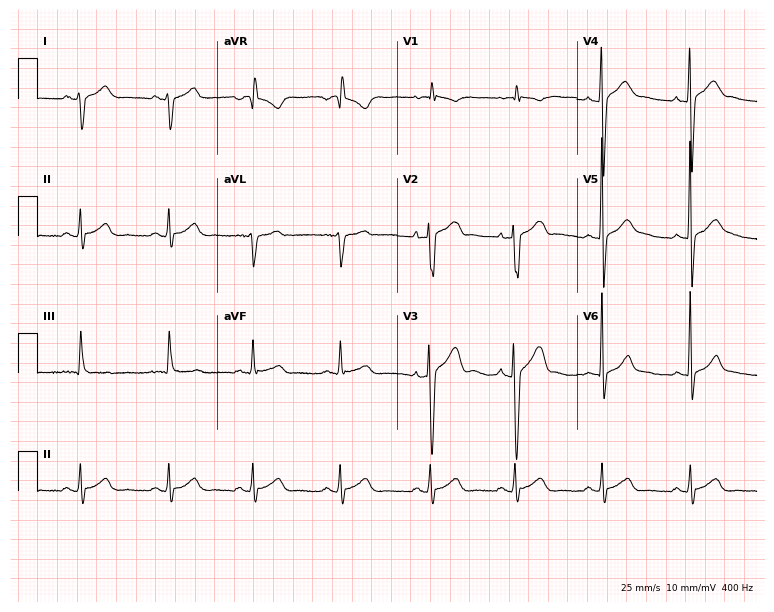
12-lead ECG from a man, 17 years old (7.3-second recording at 400 Hz). Recorded interpretation: within normal limits.